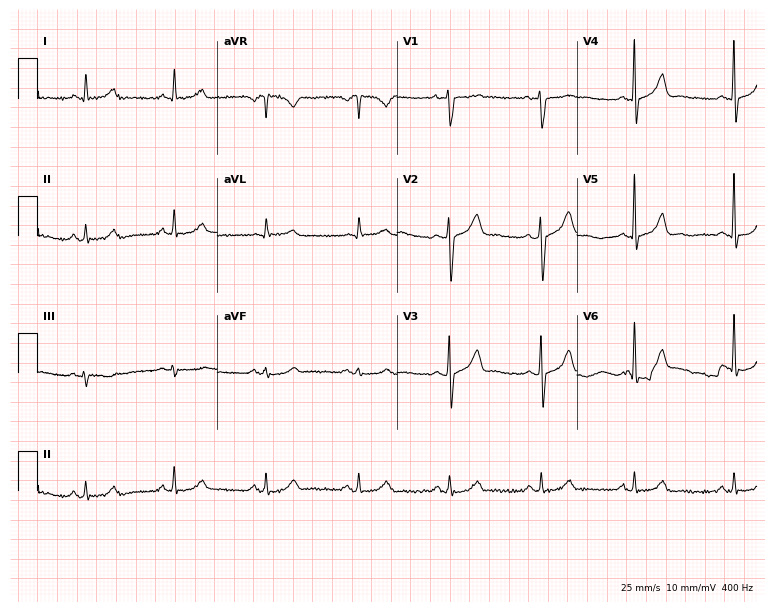
Resting 12-lead electrocardiogram (7.3-second recording at 400 Hz). Patient: a man, 52 years old. None of these six findings is recorded: first-degree AV block, right bundle branch block, left bundle branch block, sinus bradycardia, atrial fibrillation, sinus tachycardia. Findings outside these six are not listed.